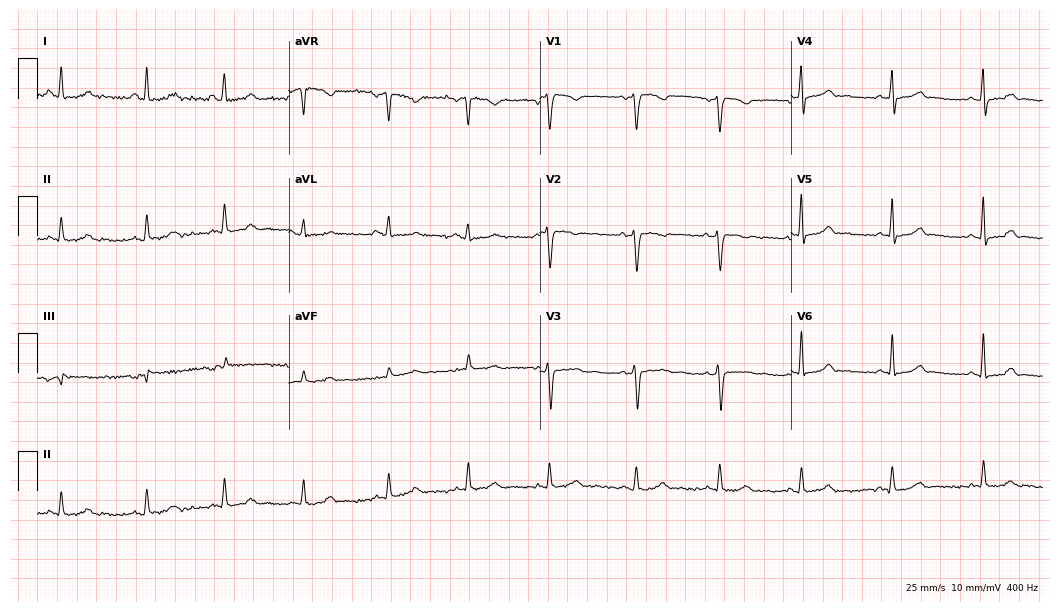
12-lead ECG from a 35-year-old male. Labelled as a normal ECG.